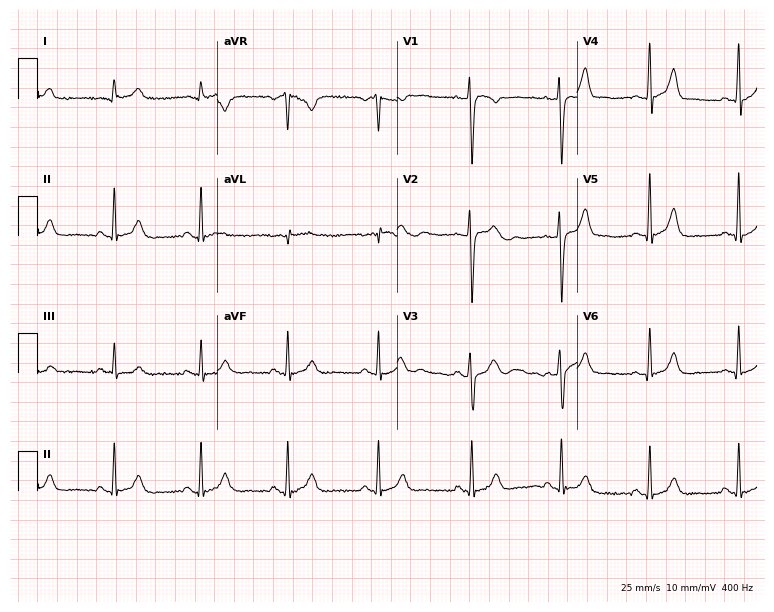
12-lead ECG from a 26-year-old male patient. Labelled as a normal ECG.